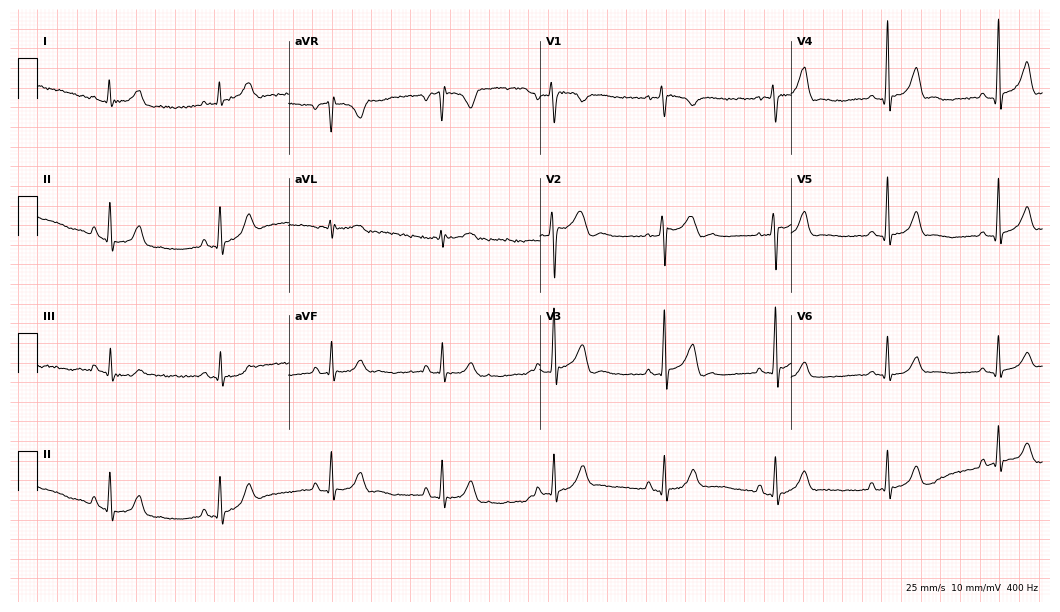
12-lead ECG from a male, 24 years old. Recorded interpretation: within normal limits.